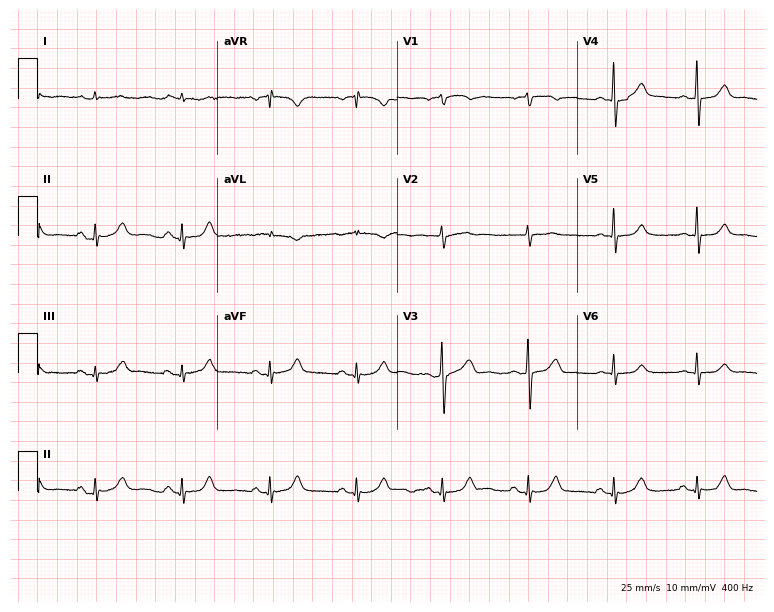
Resting 12-lead electrocardiogram (7.3-second recording at 400 Hz). Patient: a 70-year-old male. Read as a normal ECG.